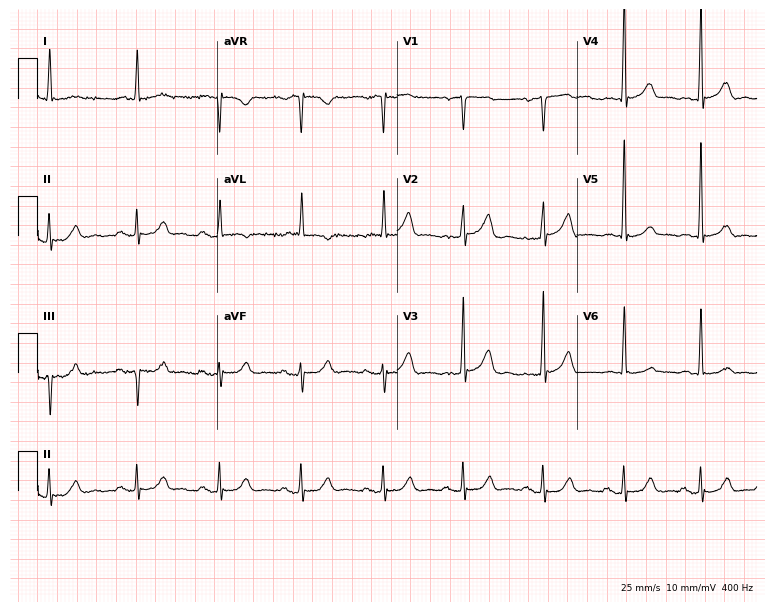
Resting 12-lead electrocardiogram (7.3-second recording at 400 Hz). Patient: a 79-year-old female. None of these six findings is recorded: first-degree AV block, right bundle branch block, left bundle branch block, sinus bradycardia, atrial fibrillation, sinus tachycardia.